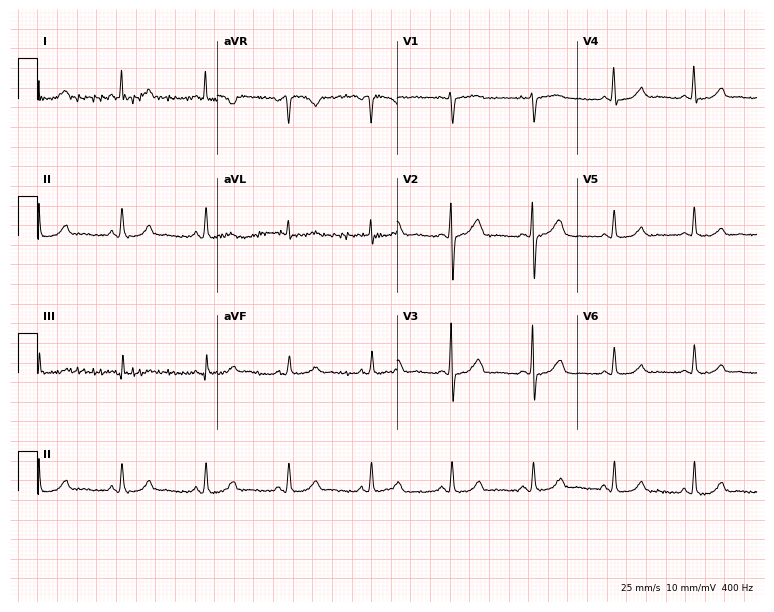
Resting 12-lead electrocardiogram (7.3-second recording at 400 Hz). Patient: a 66-year-old female. None of these six findings is recorded: first-degree AV block, right bundle branch block, left bundle branch block, sinus bradycardia, atrial fibrillation, sinus tachycardia.